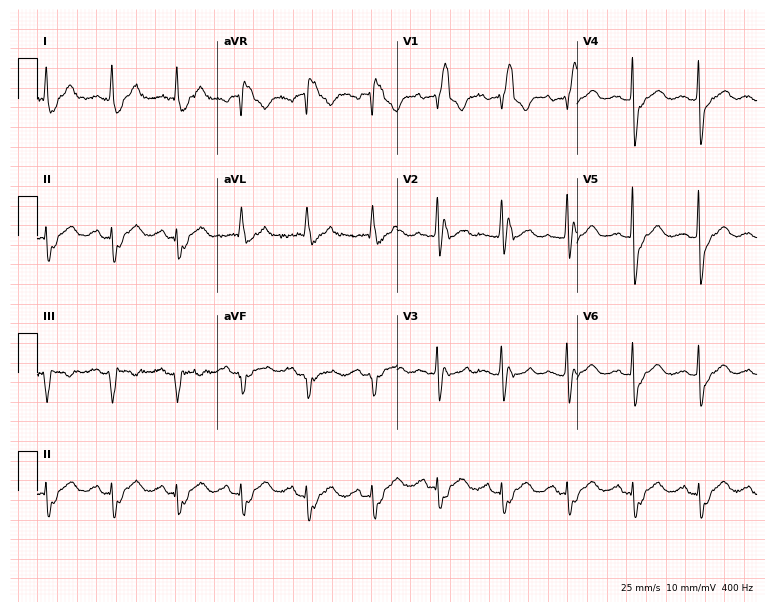
Resting 12-lead electrocardiogram (7.3-second recording at 400 Hz). Patient: a 75-year-old female. The tracing shows right bundle branch block (RBBB).